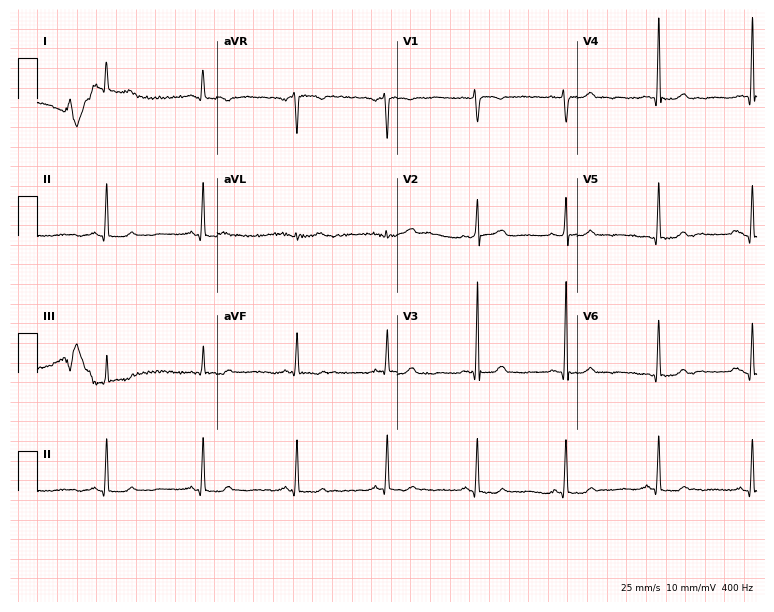
Standard 12-lead ECG recorded from a woman, 42 years old (7.3-second recording at 400 Hz). None of these six findings is recorded: first-degree AV block, right bundle branch block (RBBB), left bundle branch block (LBBB), sinus bradycardia, atrial fibrillation (AF), sinus tachycardia. Findings outside these six are not listed.